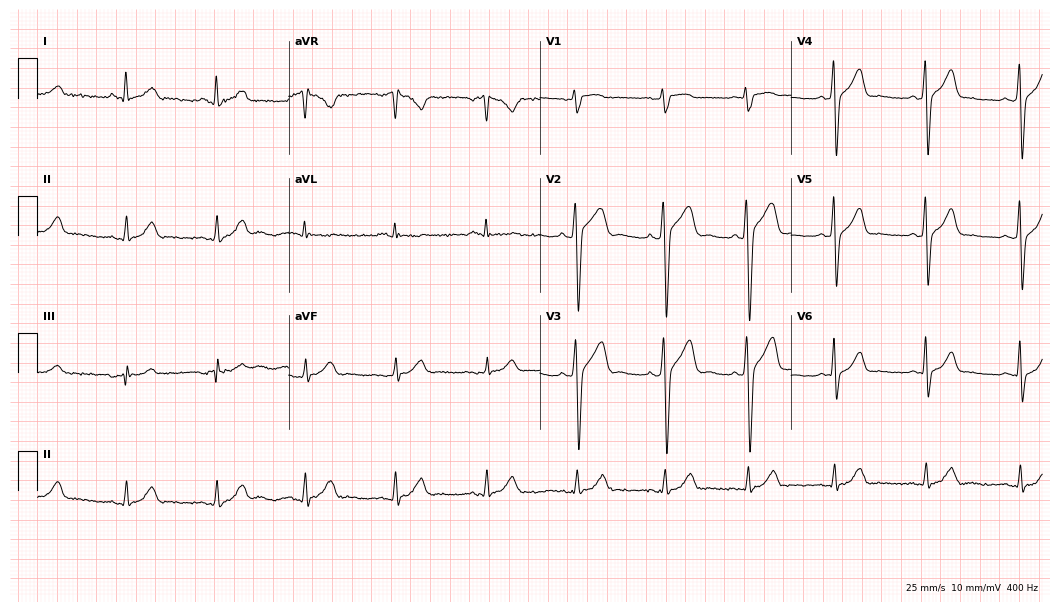
ECG (10.2-second recording at 400 Hz) — a 54-year-old man. Labelled as a normal ECG.